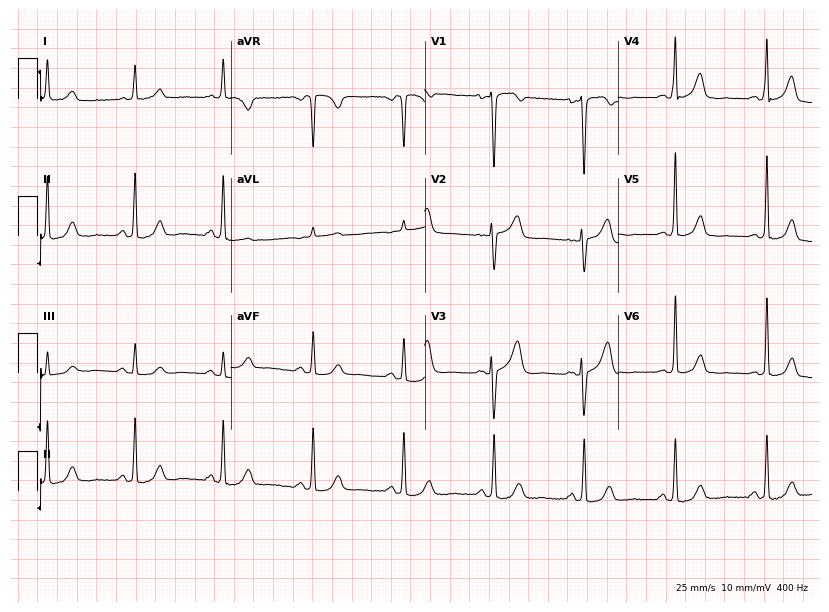
12-lead ECG from a 62-year-old female. Labelled as a normal ECG.